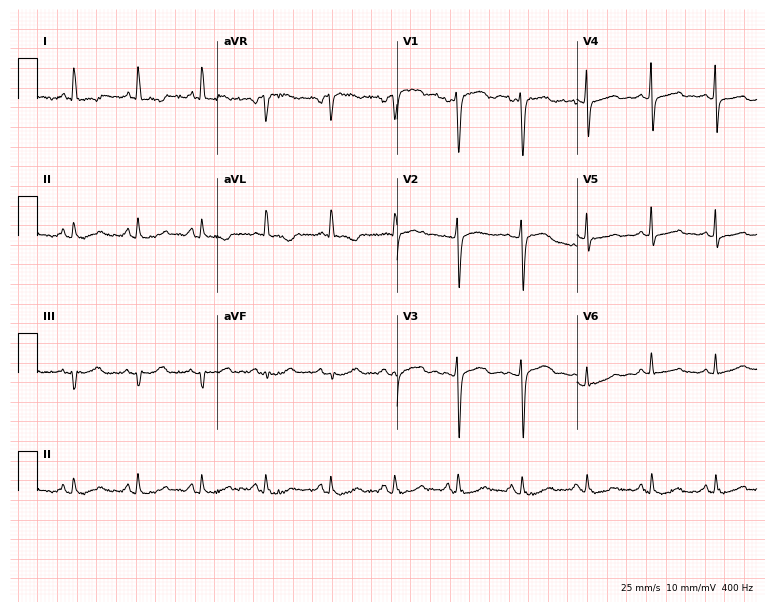
ECG (7.3-second recording at 400 Hz) — a 74-year-old female. Screened for six findings — first-degree AV block, right bundle branch block, left bundle branch block, sinus bradycardia, atrial fibrillation, sinus tachycardia — none is recorded.